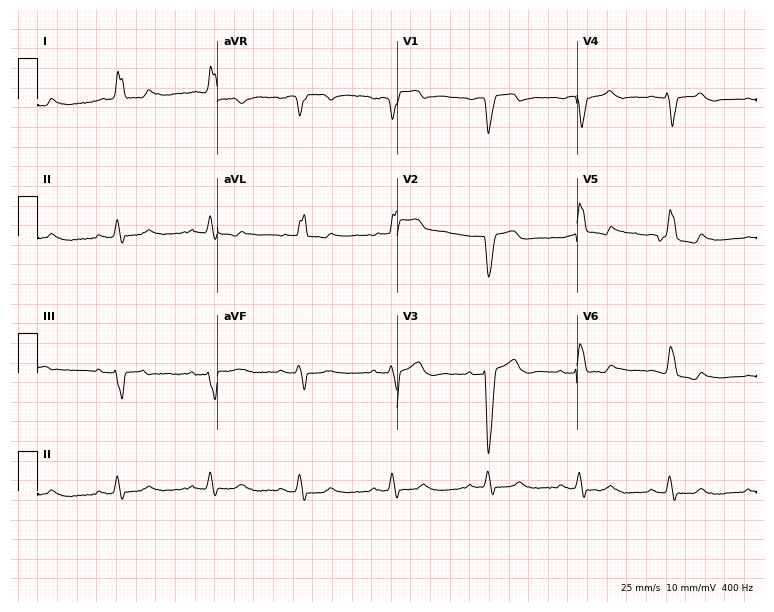
Resting 12-lead electrocardiogram. Patient: a 77-year-old female. The tracing shows left bundle branch block (LBBB).